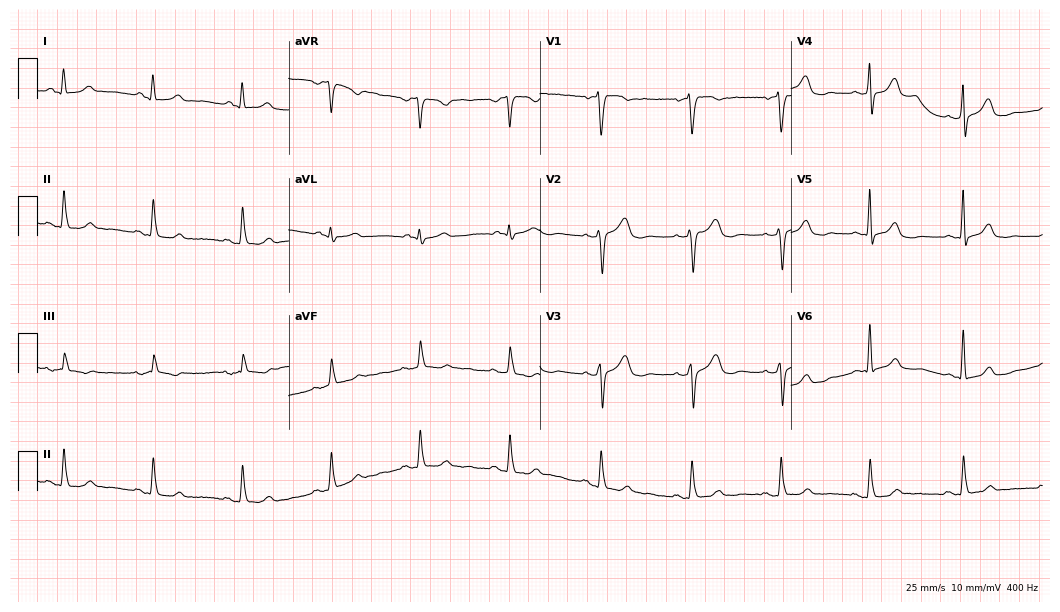
Electrocardiogram (10.2-second recording at 400 Hz), a female, 48 years old. Overall reading on record: normal ECG.